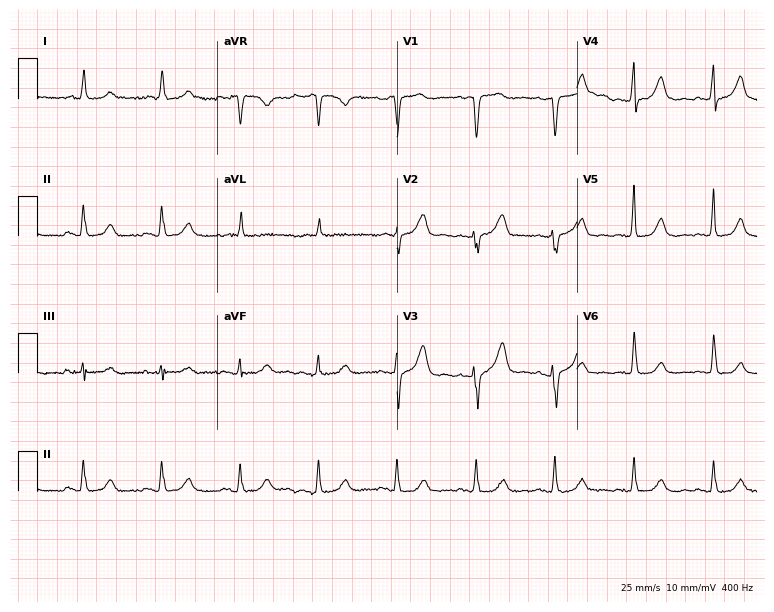
Electrocardiogram, a 77-year-old female patient. Overall reading on record: normal ECG.